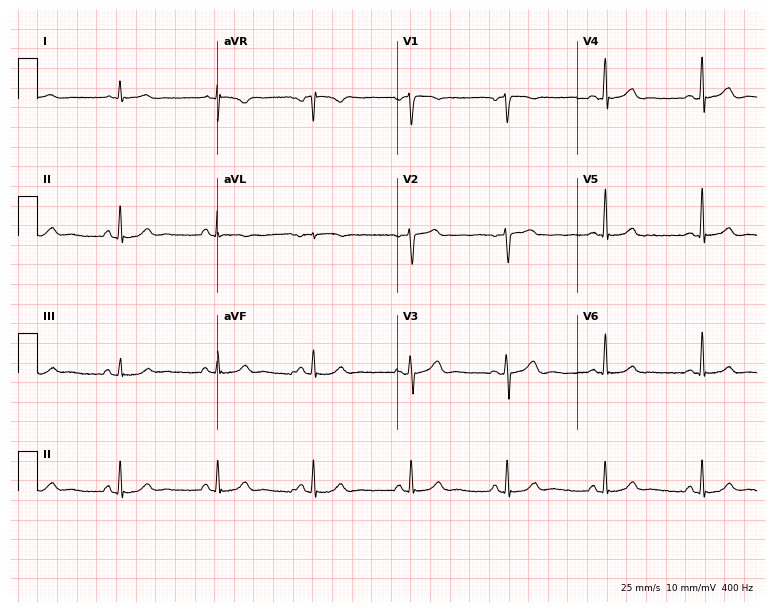
12-lead ECG from a woman, 62 years old. Recorded interpretation: within normal limits.